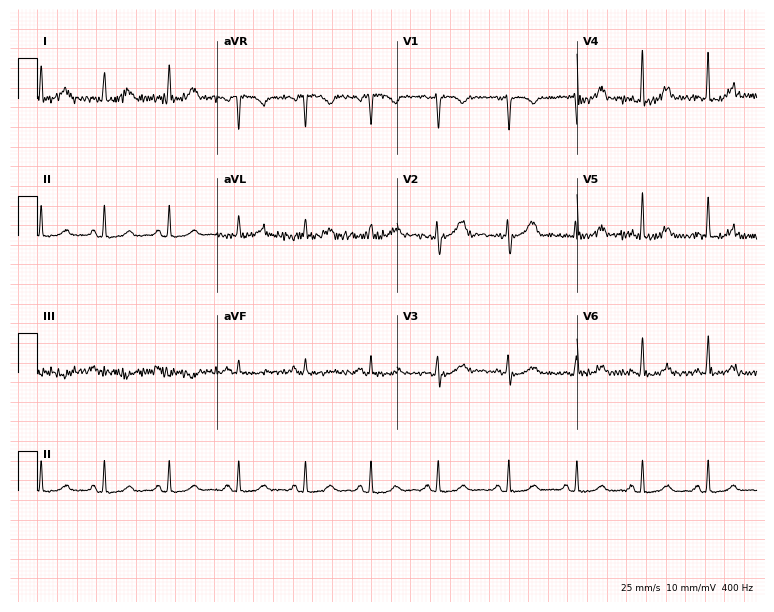
Standard 12-lead ECG recorded from a woman, 26 years old (7.3-second recording at 400 Hz). None of these six findings is recorded: first-degree AV block, right bundle branch block, left bundle branch block, sinus bradycardia, atrial fibrillation, sinus tachycardia.